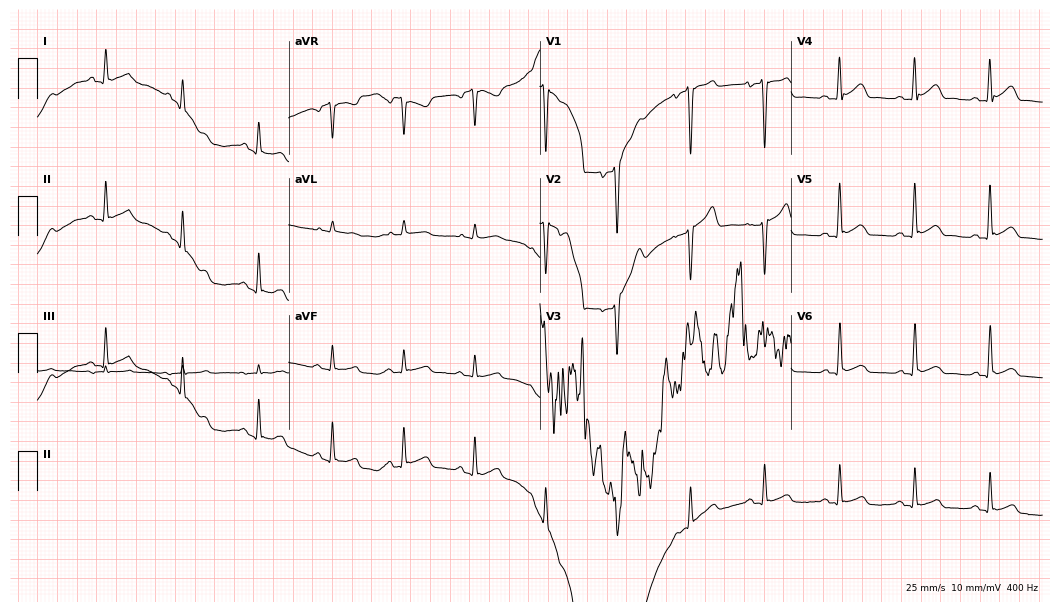
Resting 12-lead electrocardiogram (10.2-second recording at 400 Hz). Patient: a 32-year-old male. None of these six findings is recorded: first-degree AV block, right bundle branch block, left bundle branch block, sinus bradycardia, atrial fibrillation, sinus tachycardia. Only these six findings were labelled.